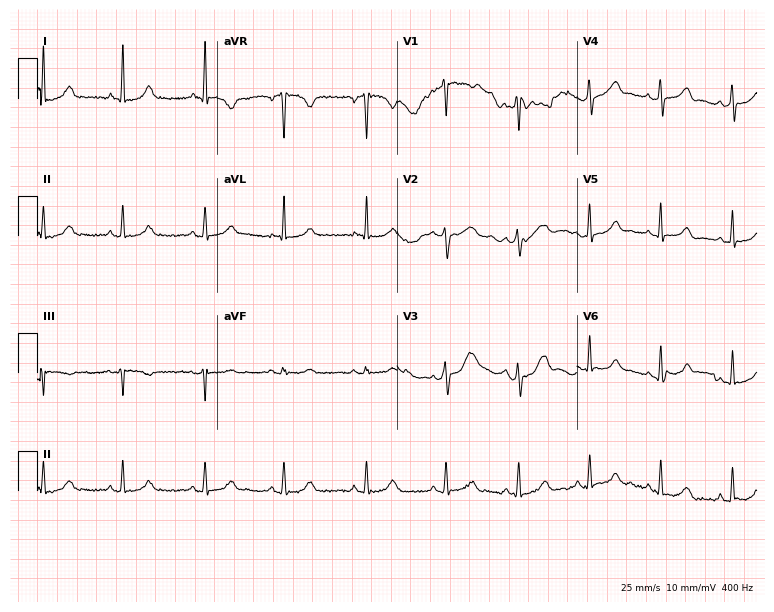
Resting 12-lead electrocardiogram (7.3-second recording at 400 Hz). Patient: a female, 30 years old. Read as a normal ECG.